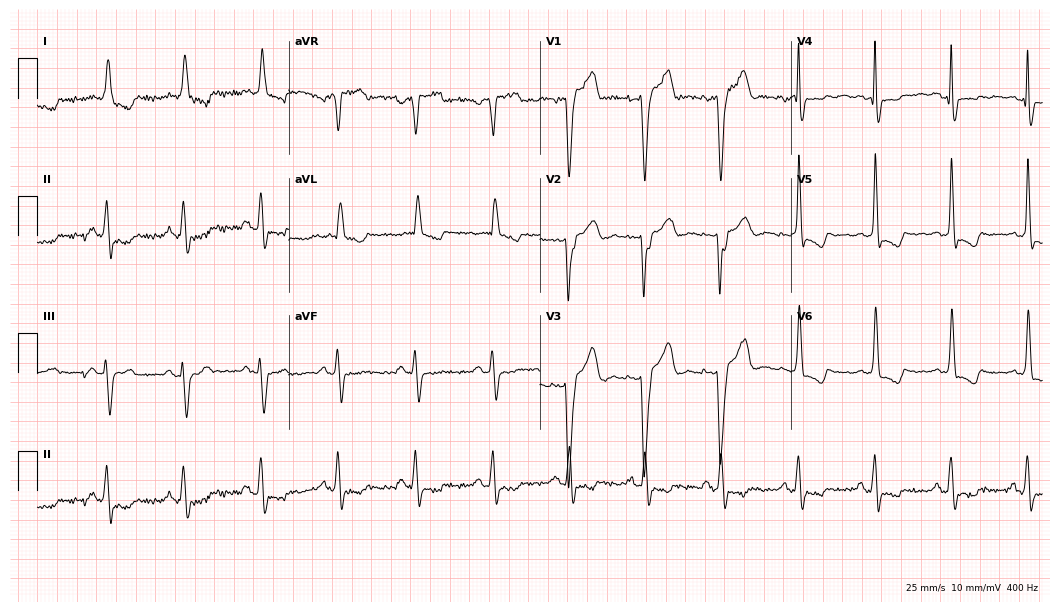
Standard 12-lead ECG recorded from a 67-year-old male patient. The tracing shows left bundle branch block.